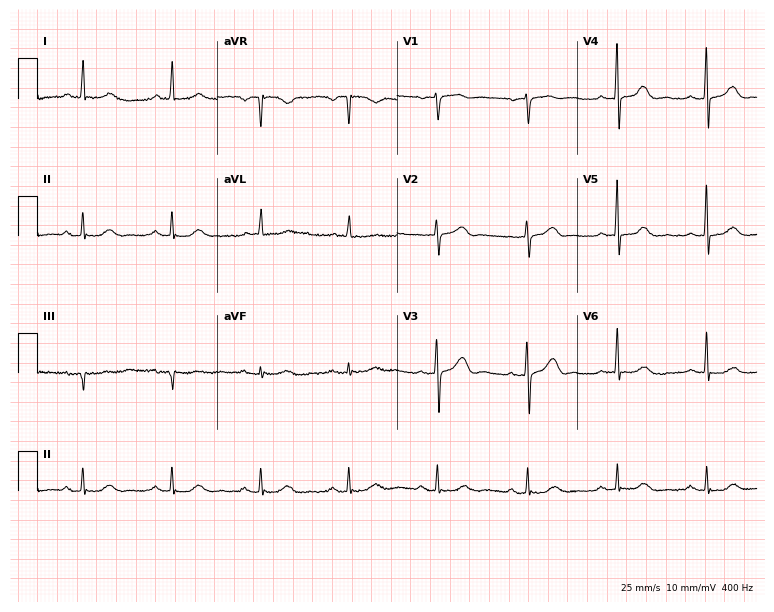
Resting 12-lead electrocardiogram. Patient: a woman, 63 years old. Read as a normal ECG.